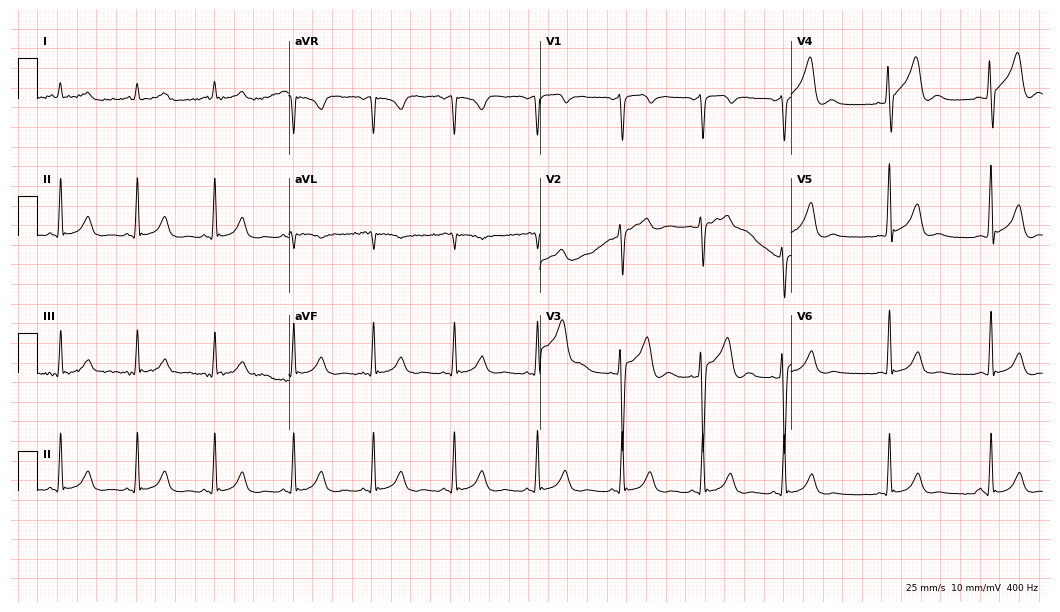
Electrocardiogram (10.2-second recording at 400 Hz), a male, 41 years old. Of the six screened findings (first-degree AV block, right bundle branch block, left bundle branch block, sinus bradycardia, atrial fibrillation, sinus tachycardia), none is recorded.